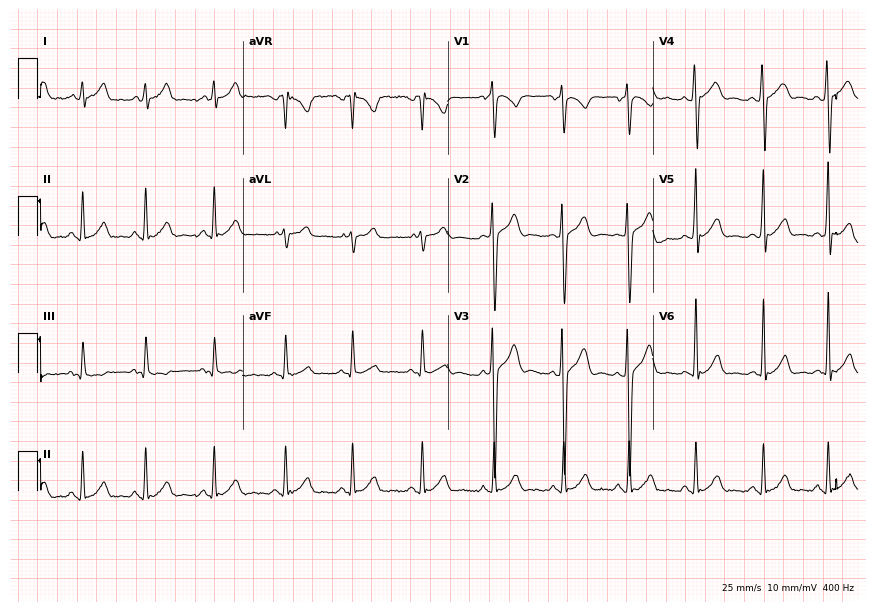
Resting 12-lead electrocardiogram (8.4-second recording at 400 Hz). Patient: a male, 17 years old. None of these six findings is recorded: first-degree AV block, right bundle branch block (RBBB), left bundle branch block (LBBB), sinus bradycardia, atrial fibrillation (AF), sinus tachycardia.